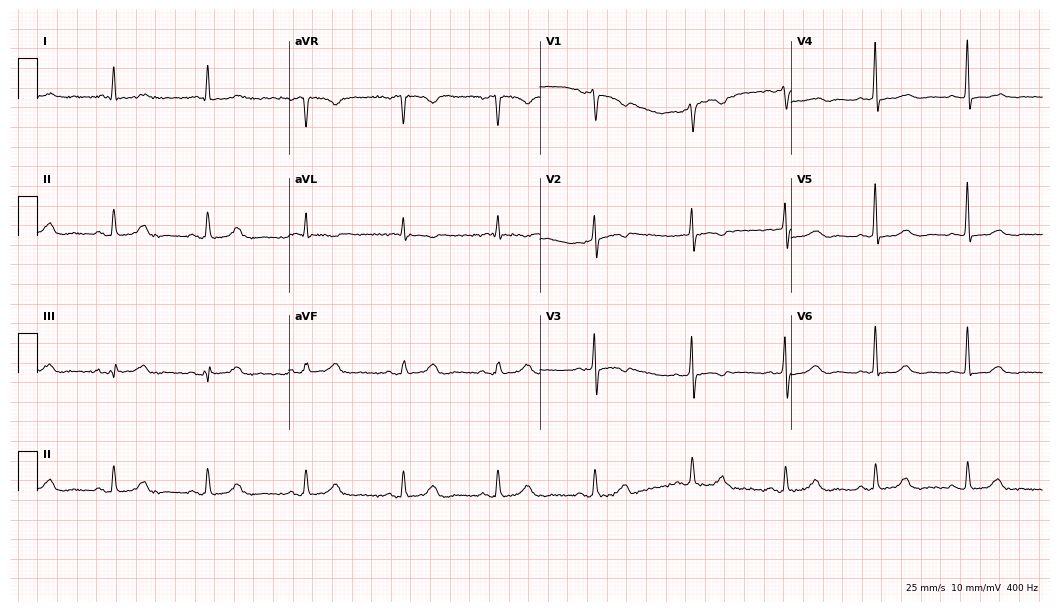
Resting 12-lead electrocardiogram. Patient: a 75-year-old woman. None of these six findings is recorded: first-degree AV block, right bundle branch block, left bundle branch block, sinus bradycardia, atrial fibrillation, sinus tachycardia. Findings outside these six are not listed.